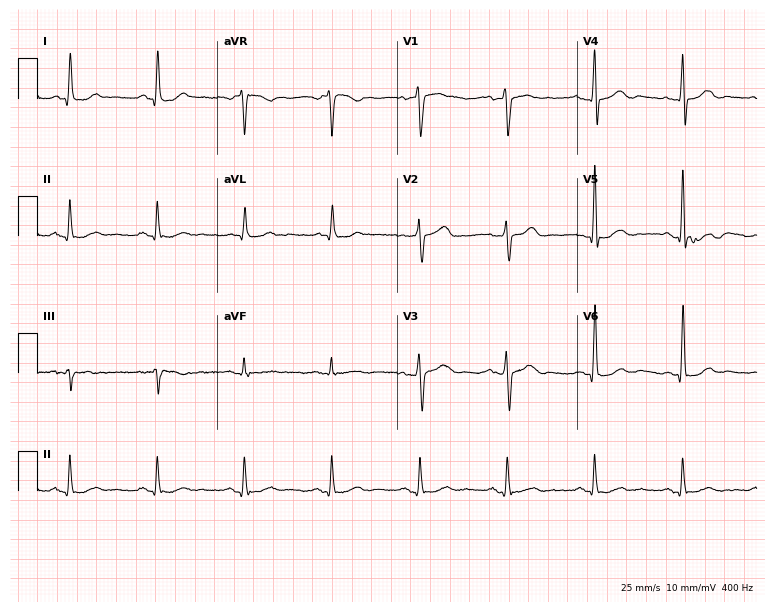
Resting 12-lead electrocardiogram (7.3-second recording at 400 Hz). Patient: a 70-year-old male. None of these six findings is recorded: first-degree AV block, right bundle branch block, left bundle branch block, sinus bradycardia, atrial fibrillation, sinus tachycardia.